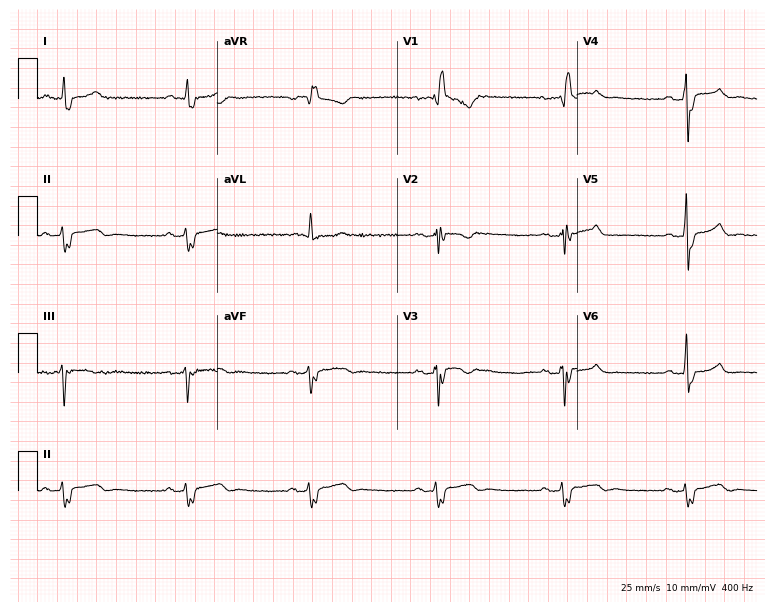
Electrocardiogram, a female, 46 years old. Interpretation includes right bundle branch block, sinus bradycardia (a sinus rate of 50 beats per minute or less).